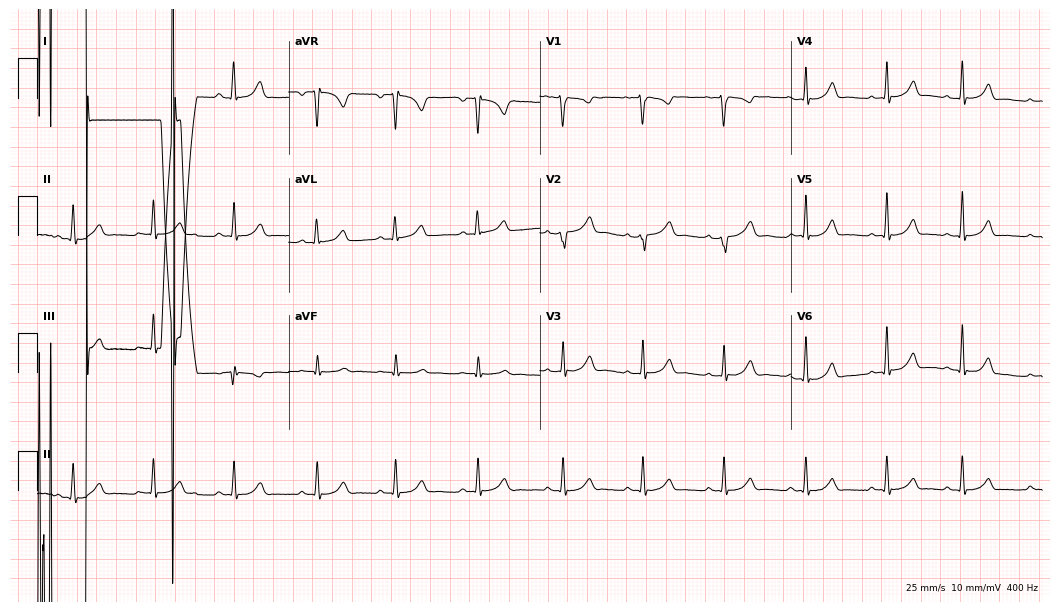
12-lead ECG (10.2-second recording at 400 Hz) from a 20-year-old female patient. Screened for six findings — first-degree AV block, right bundle branch block, left bundle branch block, sinus bradycardia, atrial fibrillation, sinus tachycardia — none is recorded. Other findings, if any, are not listed.